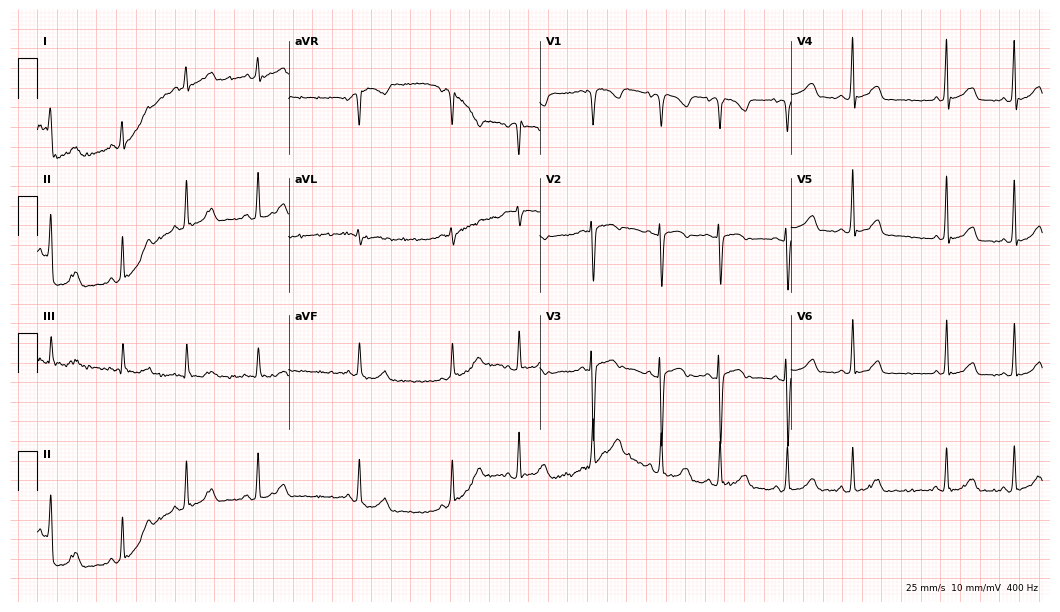
Electrocardiogram (10.2-second recording at 400 Hz), a man, 46 years old. Overall reading on record: normal ECG.